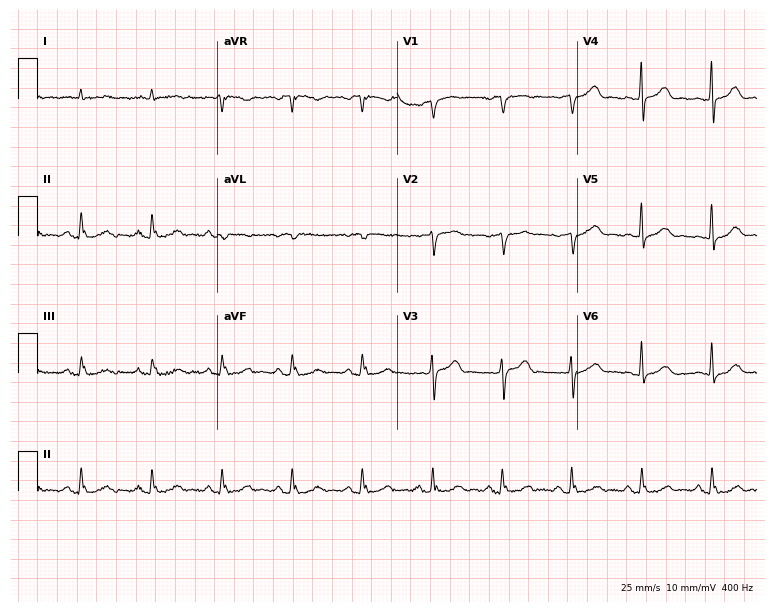
12-lead ECG (7.3-second recording at 400 Hz) from a 73-year-old male. Labelled as a normal ECG.